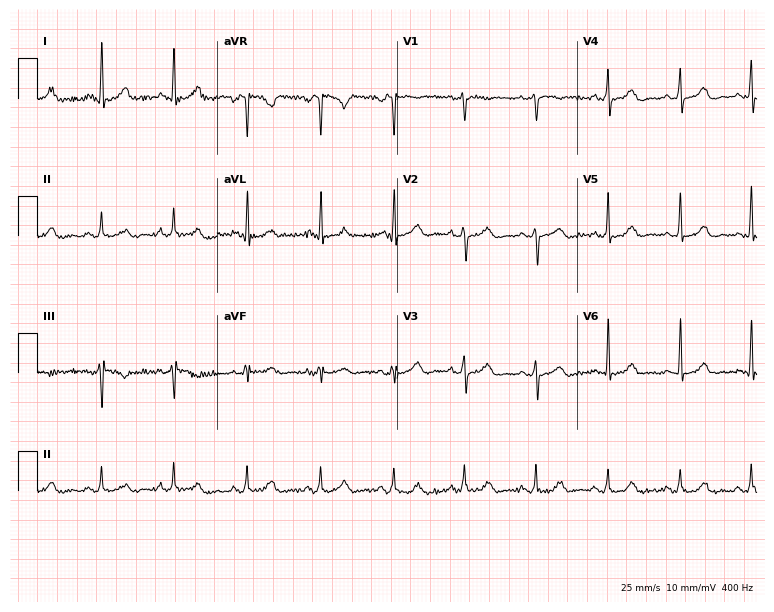
Electrocardiogram (7.3-second recording at 400 Hz), a female patient, 44 years old. Overall reading on record: normal ECG.